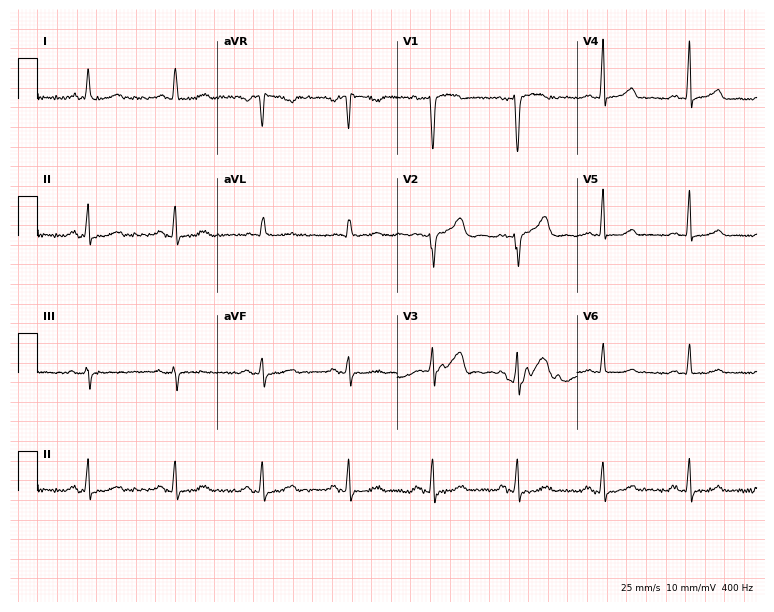
Standard 12-lead ECG recorded from a 55-year-old female. Read as a normal ECG.